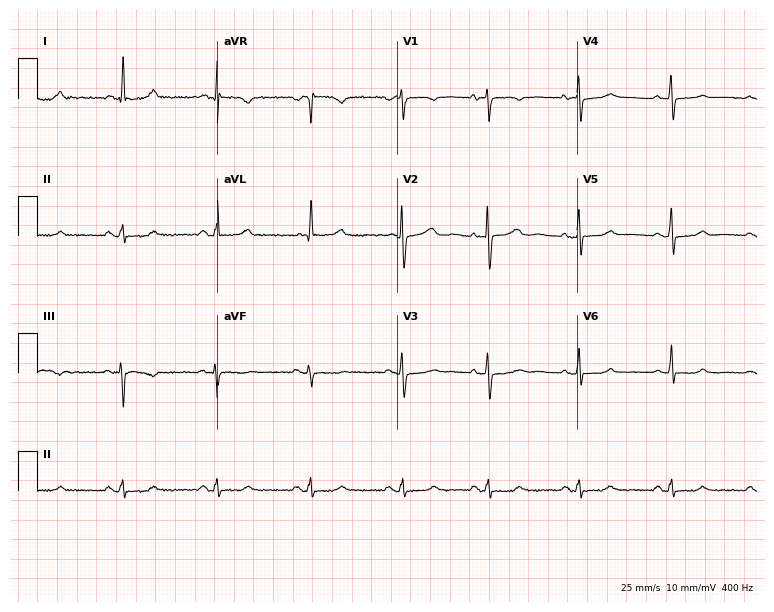
12-lead ECG from a female, 63 years old. No first-degree AV block, right bundle branch block, left bundle branch block, sinus bradycardia, atrial fibrillation or sinus tachycardia recorded for this tracing. Other findings, if any, are not listed.